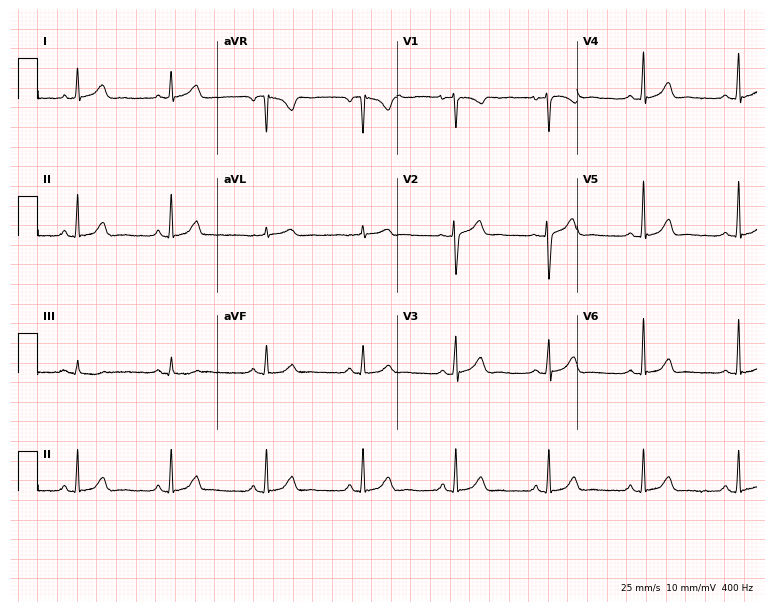
12-lead ECG (7.3-second recording at 400 Hz) from a 42-year-old female patient. Labelled as a normal ECG.